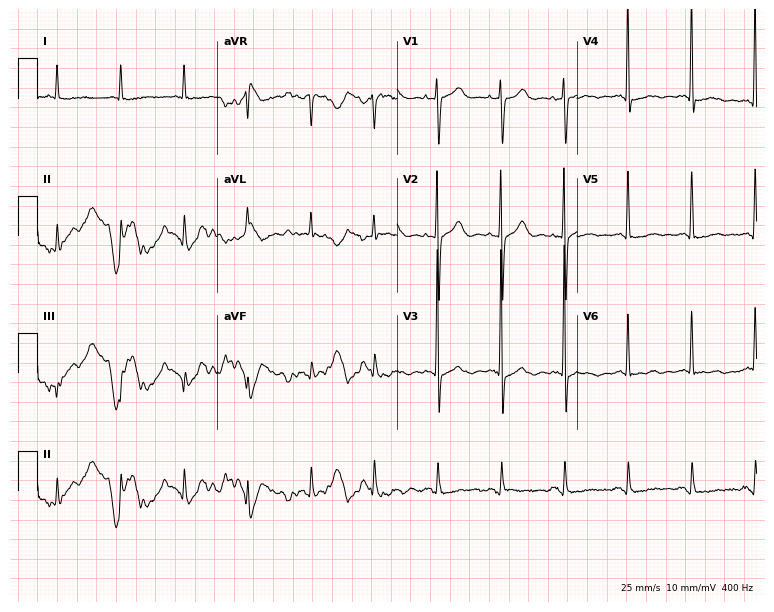
Electrocardiogram (7.3-second recording at 400 Hz), an 83-year-old female patient. Of the six screened findings (first-degree AV block, right bundle branch block, left bundle branch block, sinus bradycardia, atrial fibrillation, sinus tachycardia), none is recorded. Only these six findings were labelled.